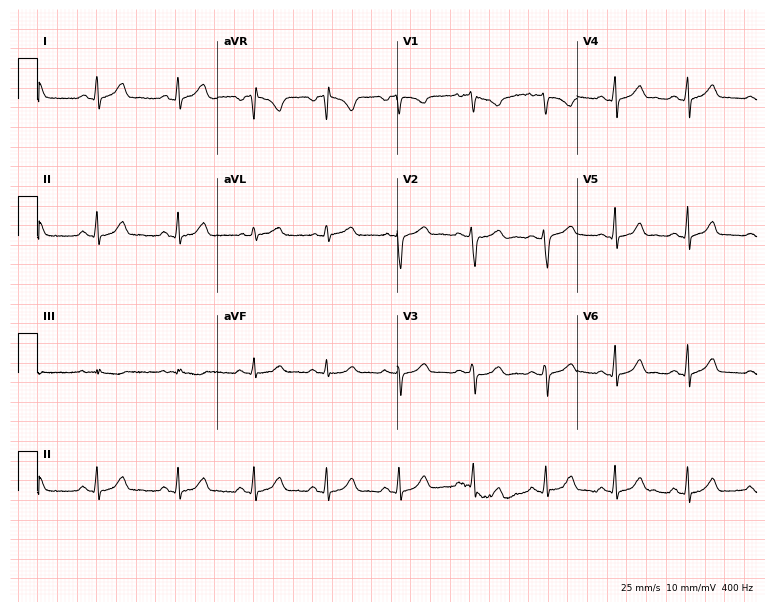
ECG — a 22-year-old female. Labelled as a normal ECG.